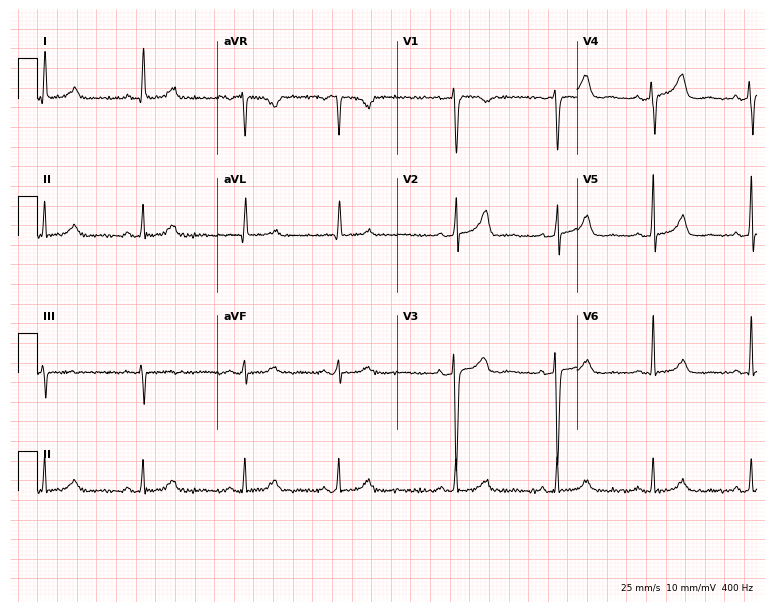
Standard 12-lead ECG recorded from a 45-year-old woman. Read as a normal ECG.